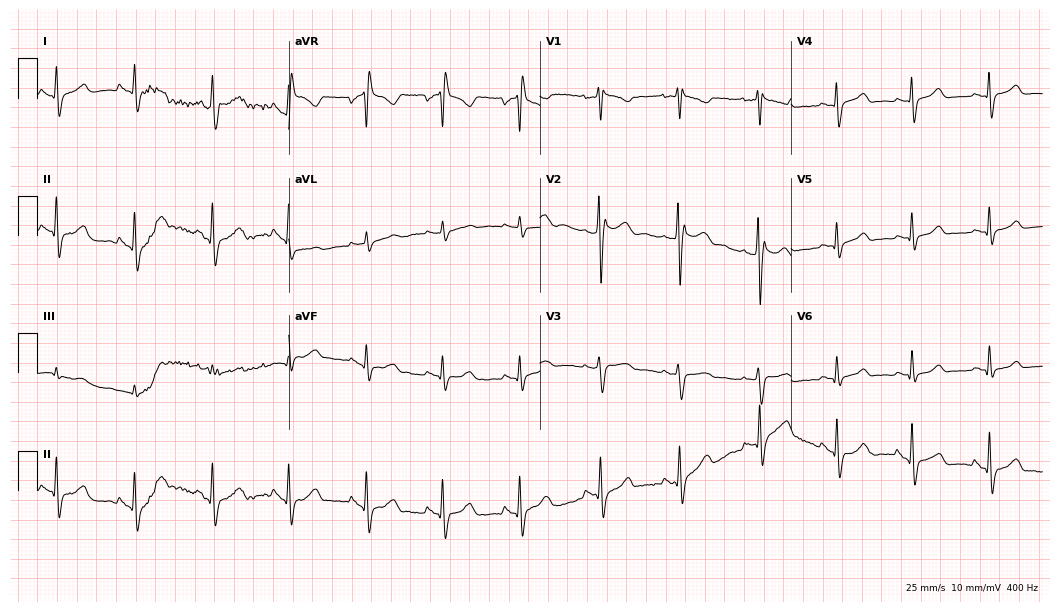
Resting 12-lead electrocardiogram (10.2-second recording at 400 Hz). Patient: a female, 23 years old. None of these six findings is recorded: first-degree AV block, right bundle branch block, left bundle branch block, sinus bradycardia, atrial fibrillation, sinus tachycardia. Other findings, if any, are not listed.